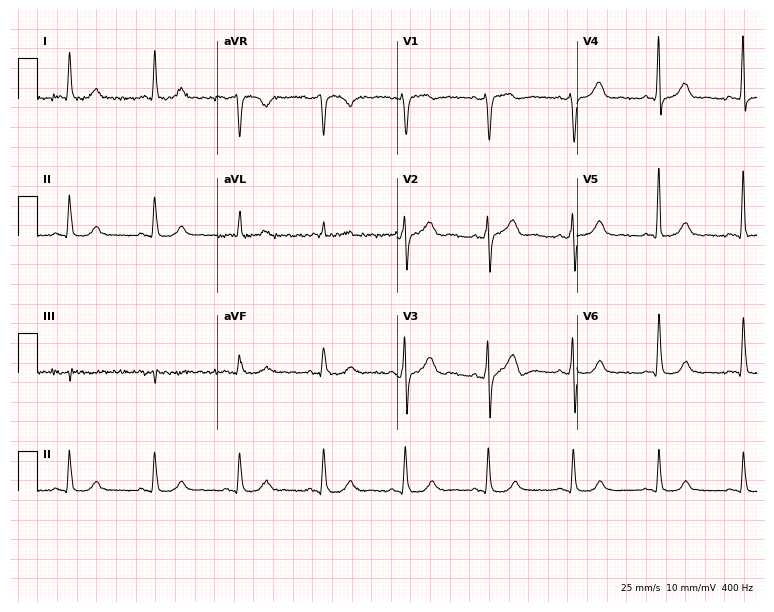
Electrocardiogram, a 63-year-old male. Overall reading on record: normal ECG.